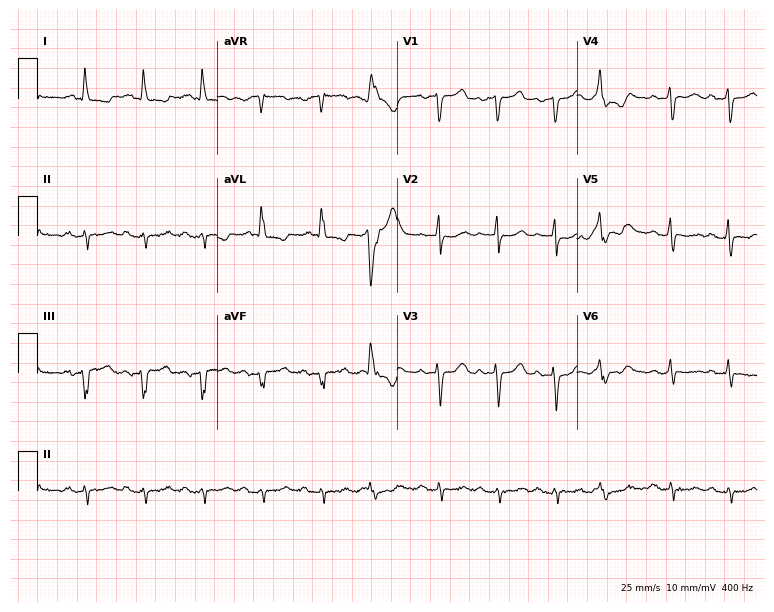
Electrocardiogram, a woman, 84 years old. Of the six screened findings (first-degree AV block, right bundle branch block, left bundle branch block, sinus bradycardia, atrial fibrillation, sinus tachycardia), none is recorded.